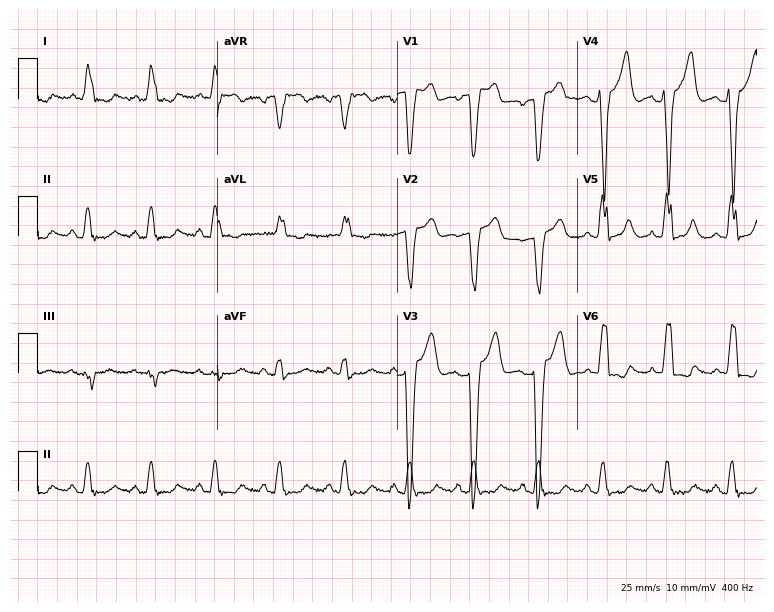
Resting 12-lead electrocardiogram (7.3-second recording at 400 Hz). Patient: an 84-year-old woman. The tracing shows left bundle branch block (LBBB).